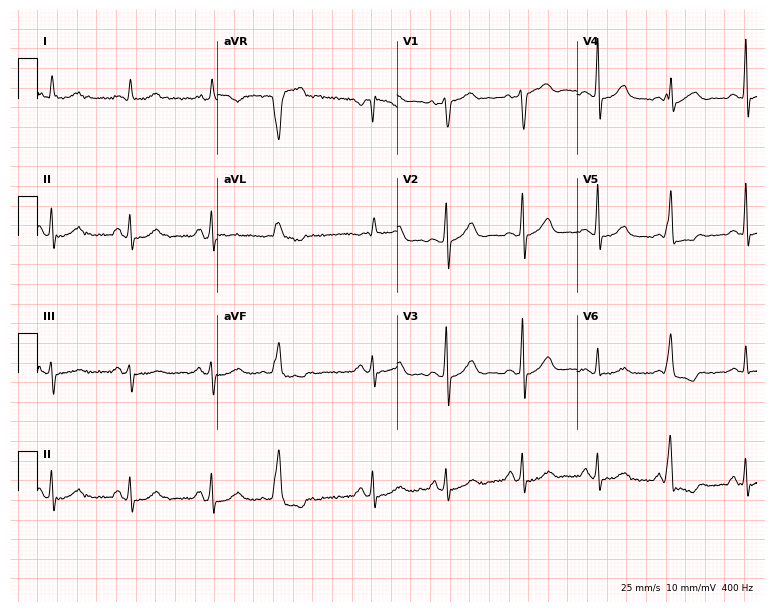
Electrocardiogram (7.3-second recording at 400 Hz), a male patient, 65 years old. Of the six screened findings (first-degree AV block, right bundle branch block, left bundle branch block, sinus bradycardia, atrial fibrillation, sinus tachycardia), none is recorded. Findings outside these six are not listed.